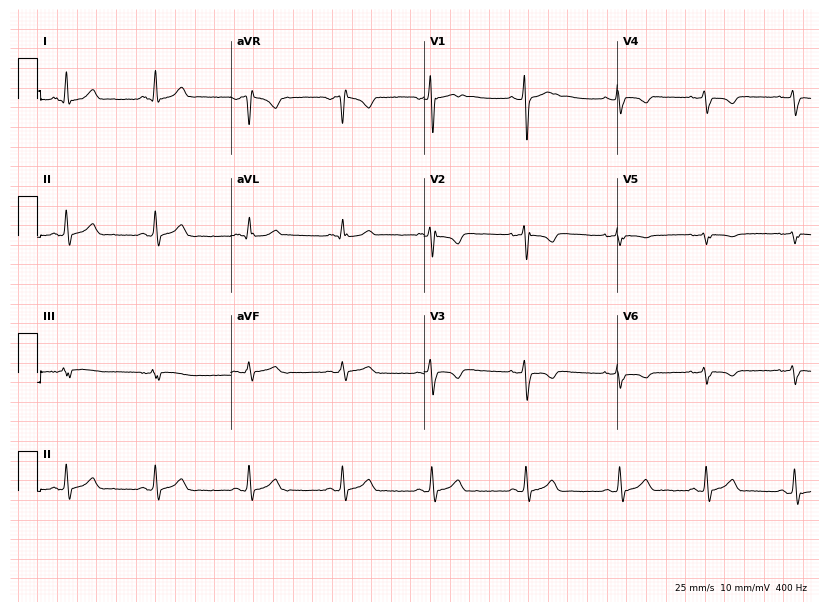
Standard 12-lead ECG recorded from an 18-year-old male patient (7.9-second recording at 400 Hz). None of these six findings is recorded: first-degree AV block, right bundle branch block, left bundle branch block, sinus bradycardia, atrial fibrillation, sinus tachycardia.